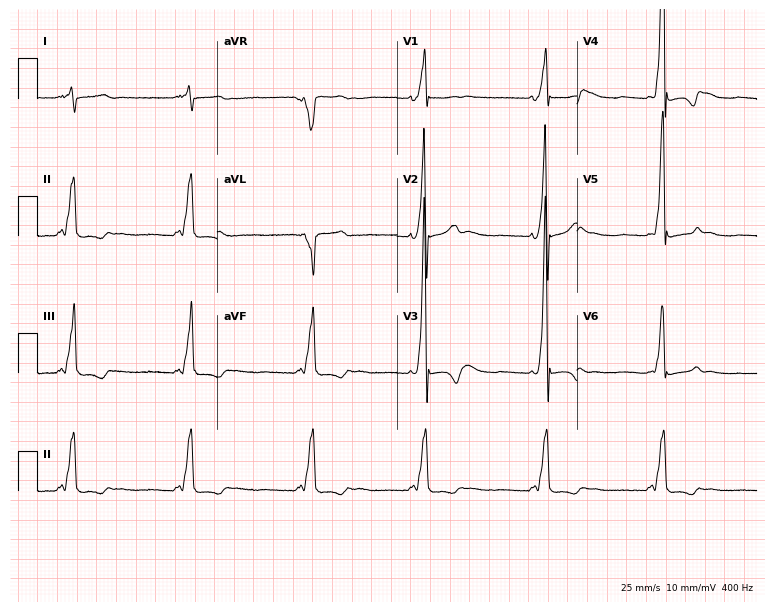
ECG — a 21-year-old male patient. Screened for six findings — first-degree AV block, right bundle branch block, left bundle branch block, sinus bradycardia, atrial fibrillation, sinus tachycardia — none is recorded.